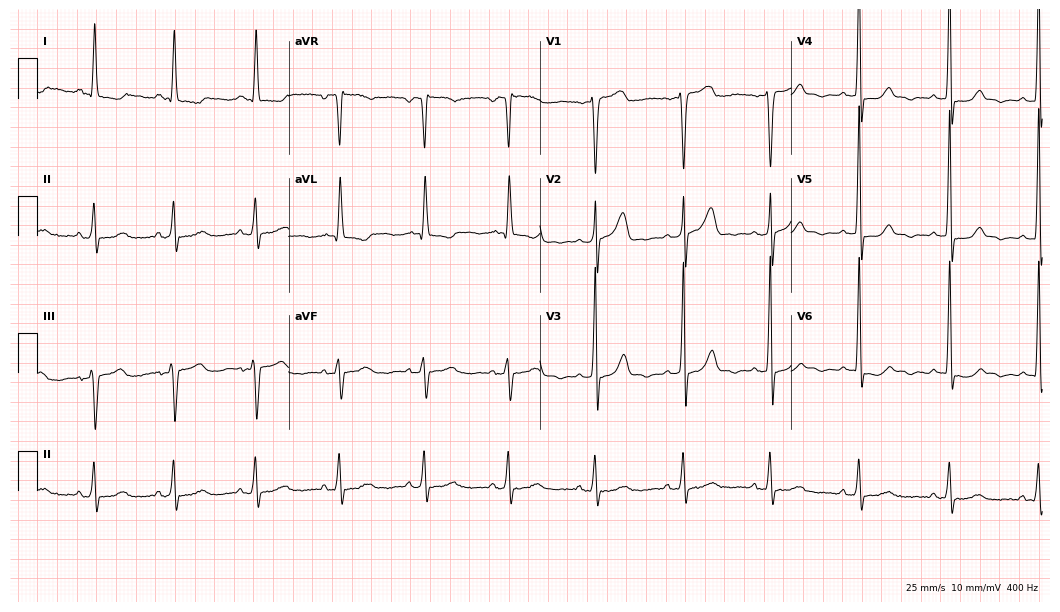
12-lead ECG (10.2-second recording at 400 Hz) from a 53-year-old female patient. Screened for six findings — first-degree AV block, right bundle branch block, left bundle branch block, sinus bradycardia, atrial fibrillation, sinus tachycardia — none is recorded. Other findings, if any, are not listed.